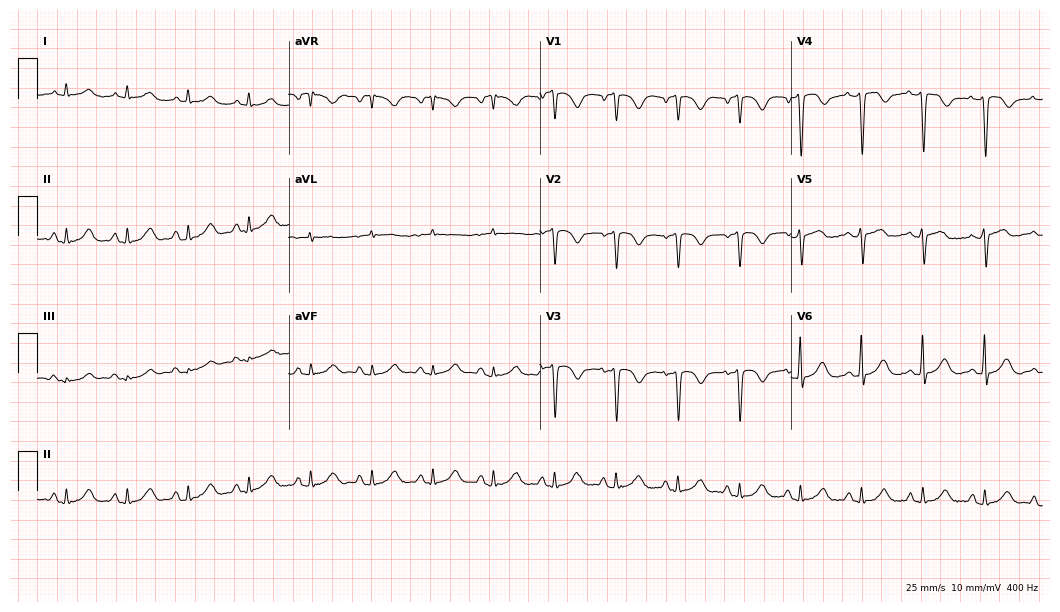
ECG — a 71-year-old female patient. Labelled as a normal ECG.